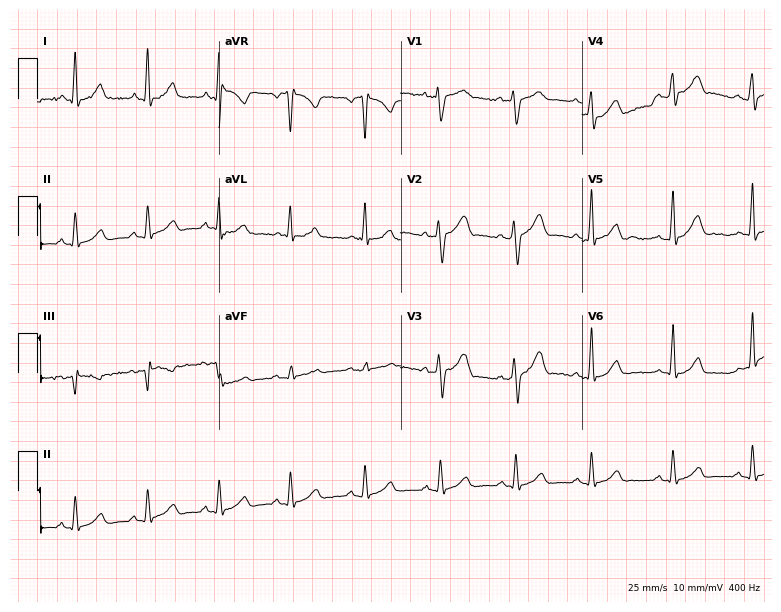
12-lead ECG (7.4-second recording at 400 Hz) from a man, 24 years old. Labelled as a normal ECG.